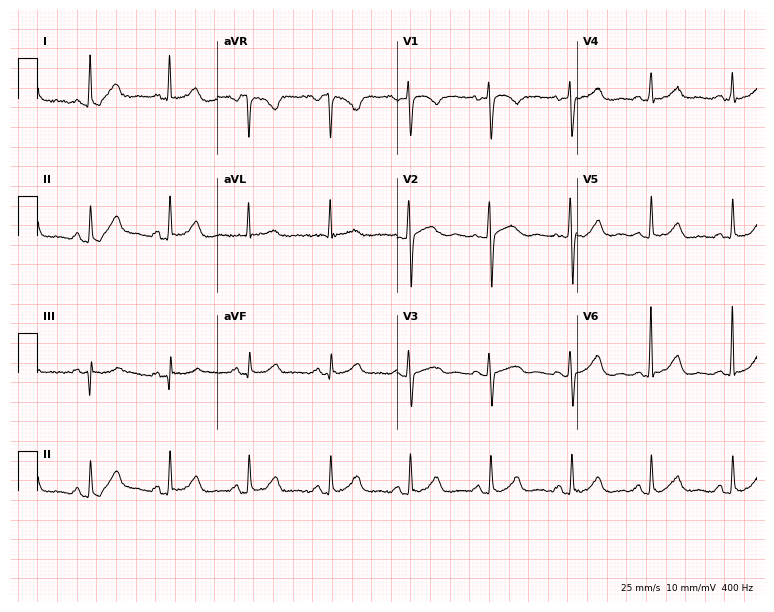
12-lead ECG from a 59-year-old female. Labelled as a normal ECG.